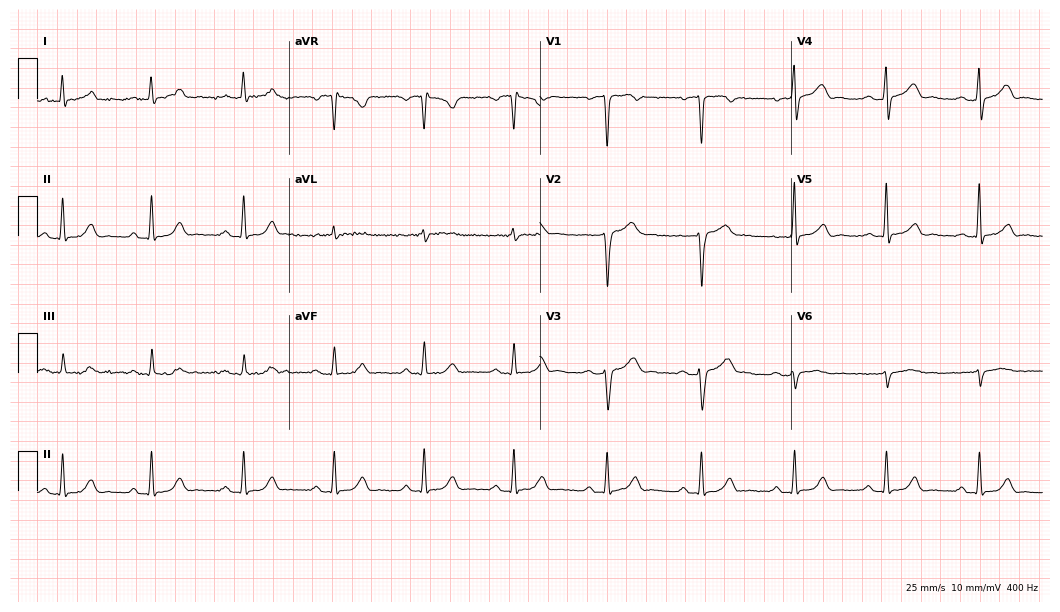
12-lead ECG (10.2-second recording at 400 Hz) from a 53-year-old male patient. Screened for six findings — first-degree AV block, right bundle branch block, left bundle branch block, sinus bradycardia, atrial fibrillation, sinus tachycardia — none is recorded.